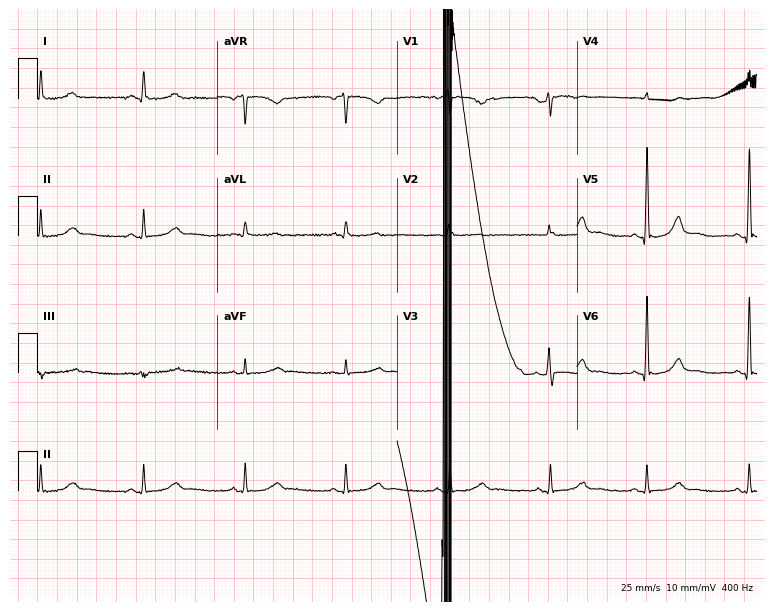
Resting 12-lead electrocardiogram. Patient: a woman, 61 years old. None of these six findings is recorded: first-degree AV block, right bundle branch block, left bundle branch block, sinus bradycardia, atrial fibrillation, sinus tachycardia. Findings outside these six are not listed.